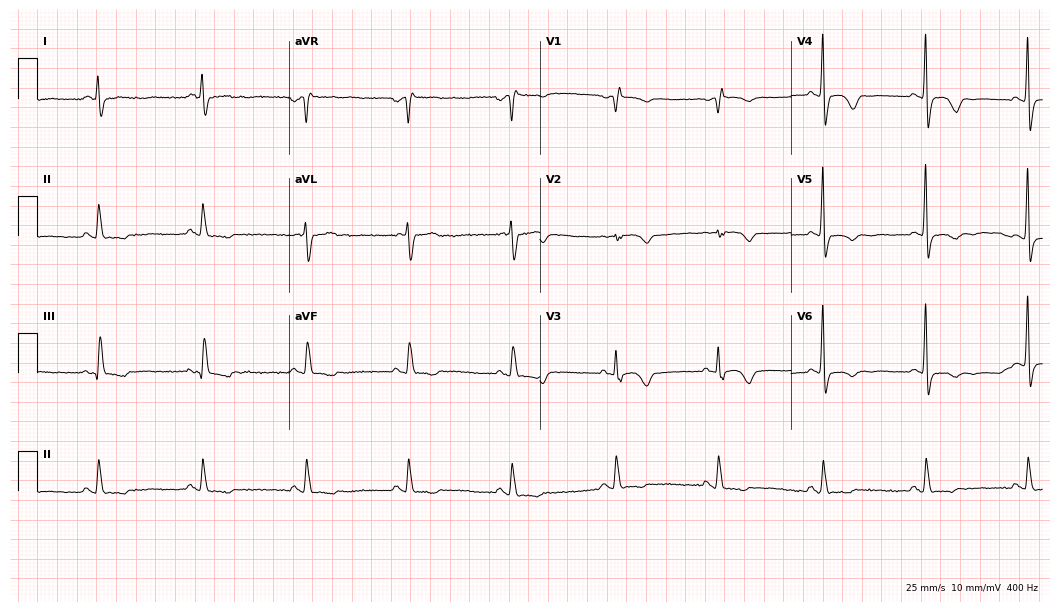
Standard 12-lead ECG recorded from a 70-year-old female. None of these six findings is recorded: first-degree AV block, right bundle branch block, left bundle branch block, sinus bradycardia, atrial fibrillation, sinus tachycardia. Only these six findings were labelled.